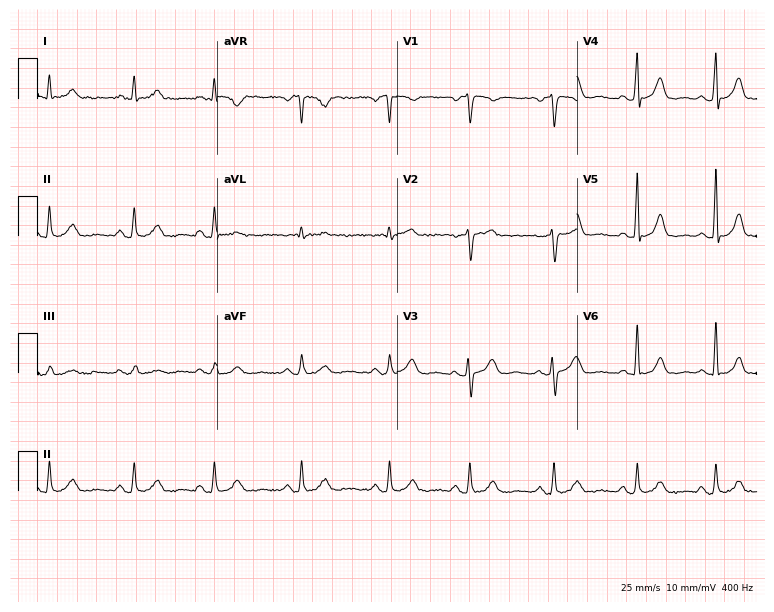
Standard 12-lead ECG recorded from a female, 49 years old (7.3-second recording at 400 Hz). None of these six findings is recorded: first-degree AV block, right bundle branch block, left bundle branch block, sinus bradycardia, atrial fibrillation, sinus tachycardia. Other findings, if any, are not listed.